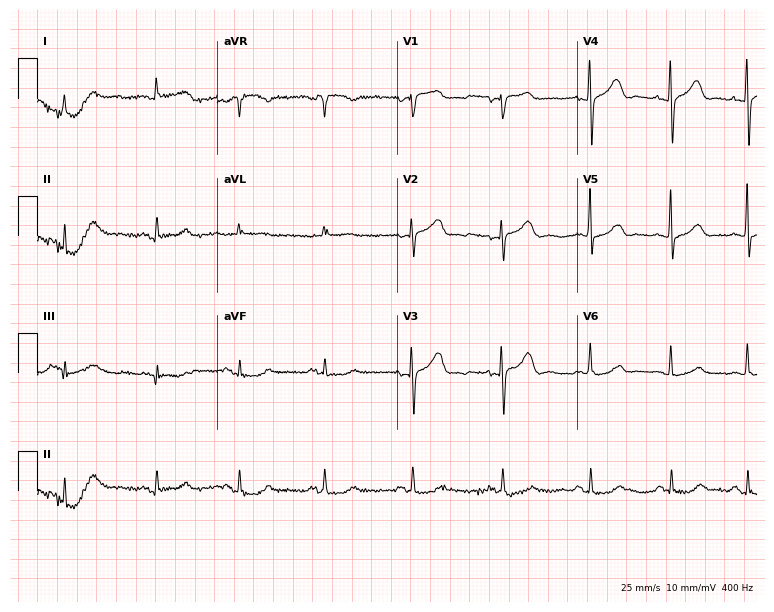
12-lead ECG from a 79-year-old female patient (7.3-second recording at 400 Hz). No first-degree AV block, right bundle branch block (RBBB), left bundle branch block (LBBB), sinus bradycardia, atrial fibrillation (AF) or sinus tachycardia recorded for this tracing. Other findings, if any, are not listed.